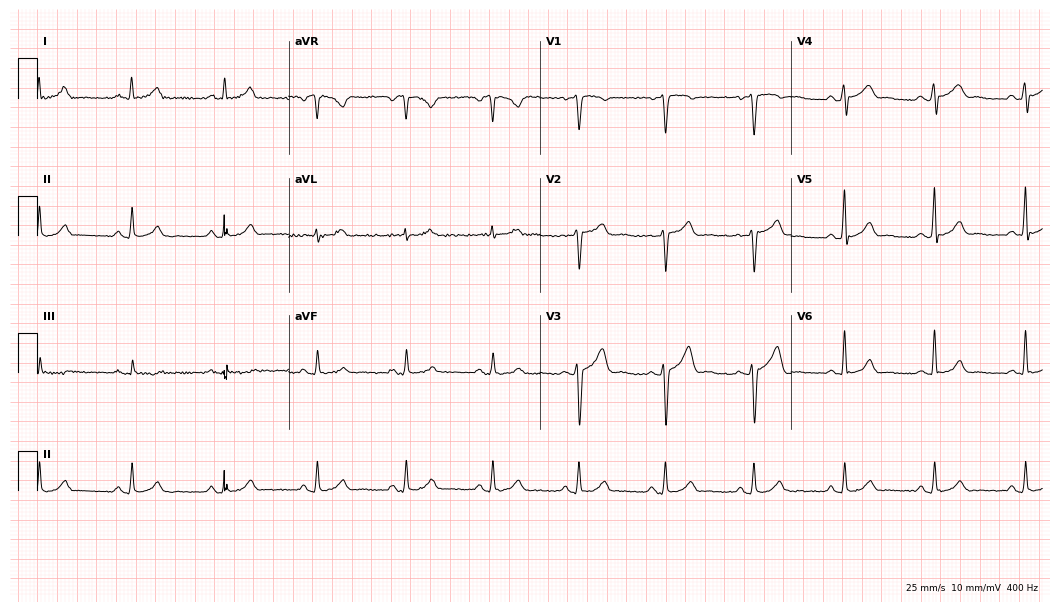
12-lead ECG from a 45-year-old male (10.2-second recording at 400 Hz). No first-degree AV block, right bundle branch block (RBBB), left bundle branch block (LBBB), sinus bradycardia, atrial fibrillation (AF) or sinus tachycardia recorded for this tracing. Findings outside these six are not listed.